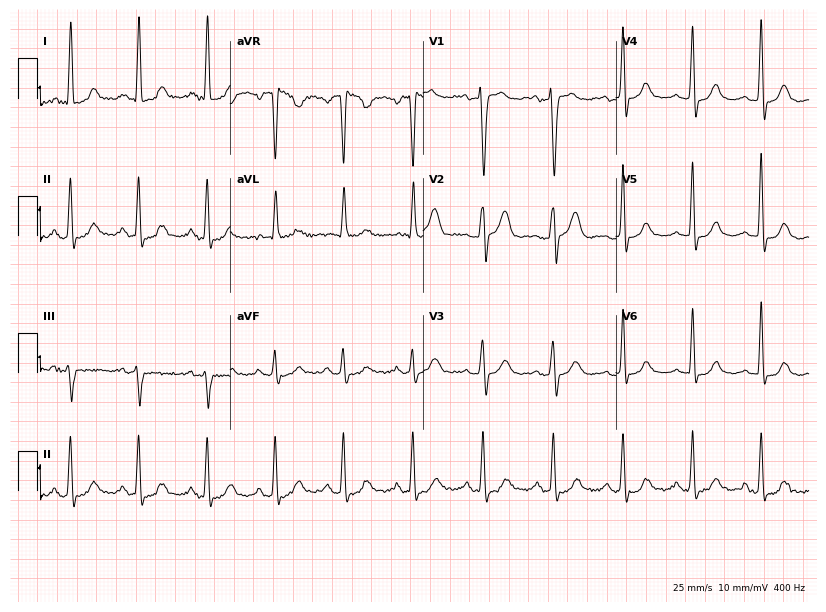
12-lead ECG from a 77-year-old female patient (7.9-second recording at 400 Hz). Recorded interpretation: within normal limits.